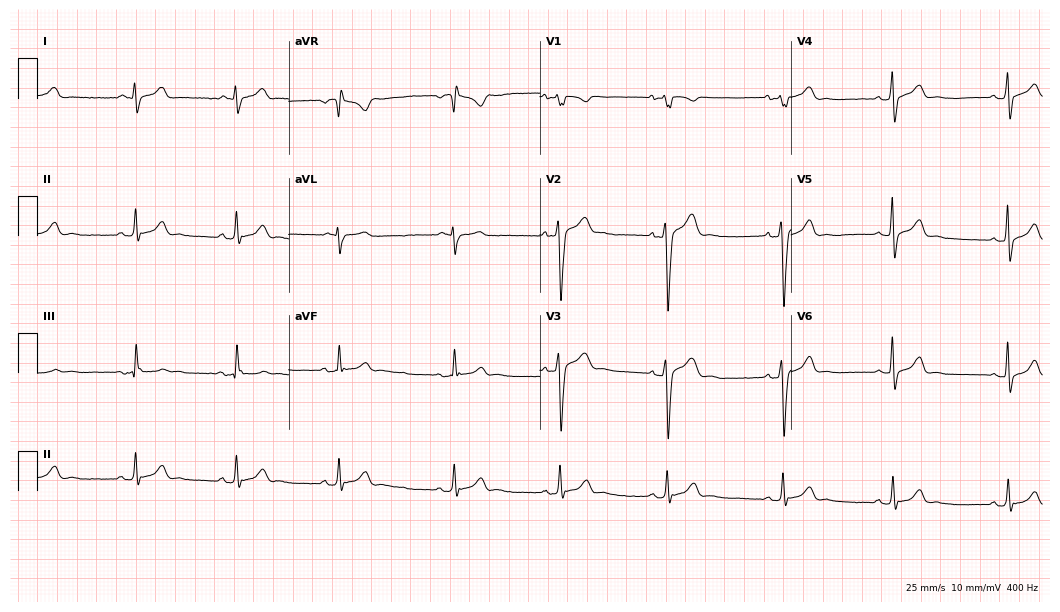
12-lead ECG from a man, 33 years old. Screened for six findings — first-degree AV block, right bundle branch block, left bundle branch block, sinus bradycardia, atrial fibrillation, sinus tachycardia — none is recorded. Only these six findings were labelled.